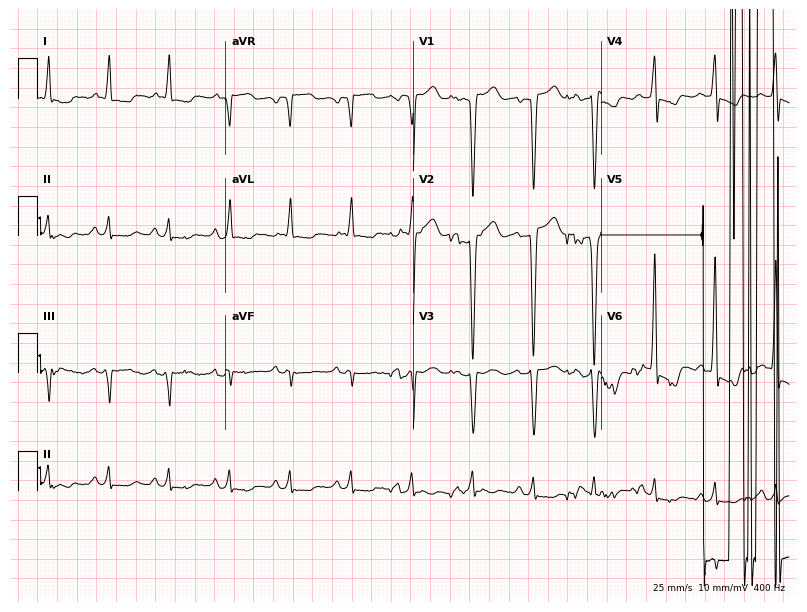
Electrocardiogram (7.7-second recording at 400 Hz), a man, 54 years old. Of the six screened findings (first-degree AV block, right bundle branch block, left bundle branch block, sinus bradycardia, atrial fibrillation, sinus tachycardia), none is recorded.